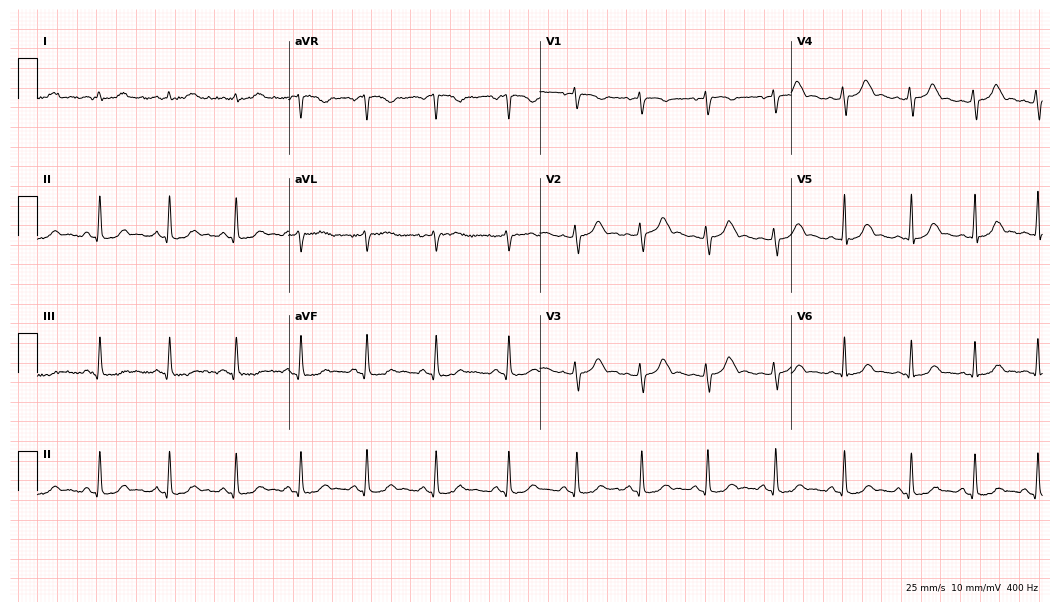
Standard 12-lead ECG recorded from a woman, 25 years old. Read as a normal ECG.